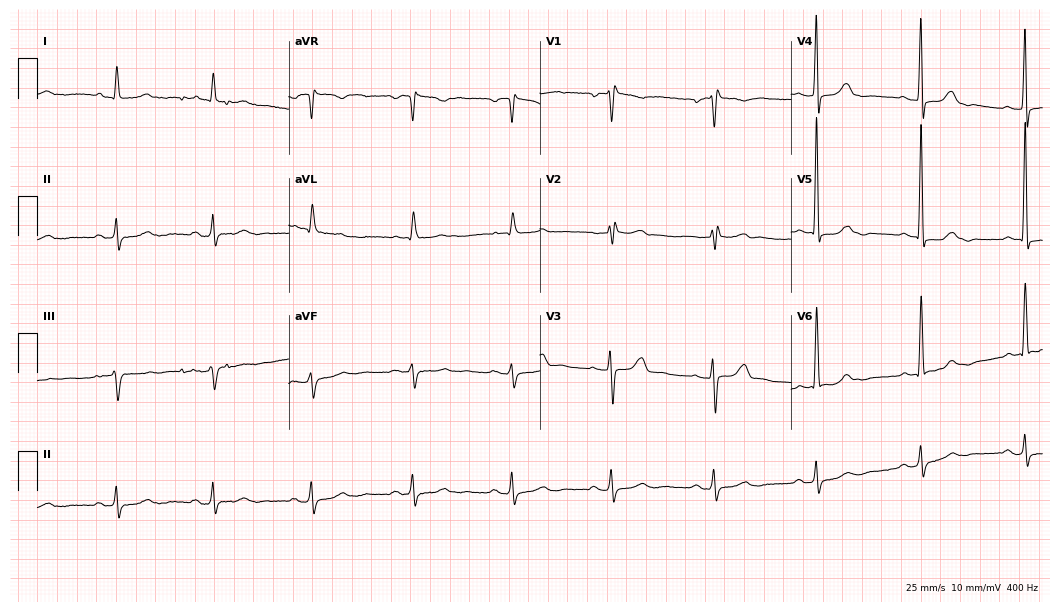
Resting 12-lead electrocardiogram (10.2-second recording at 400 Hz). Patient: a male, 71 years old. None of these six findings is recorded: first-degree AV block, right bundle branch block, left bundle branch block, sinus bradycardia, atrial fibrillation, sinus tachycardia. Other findings, if any, are not listed.